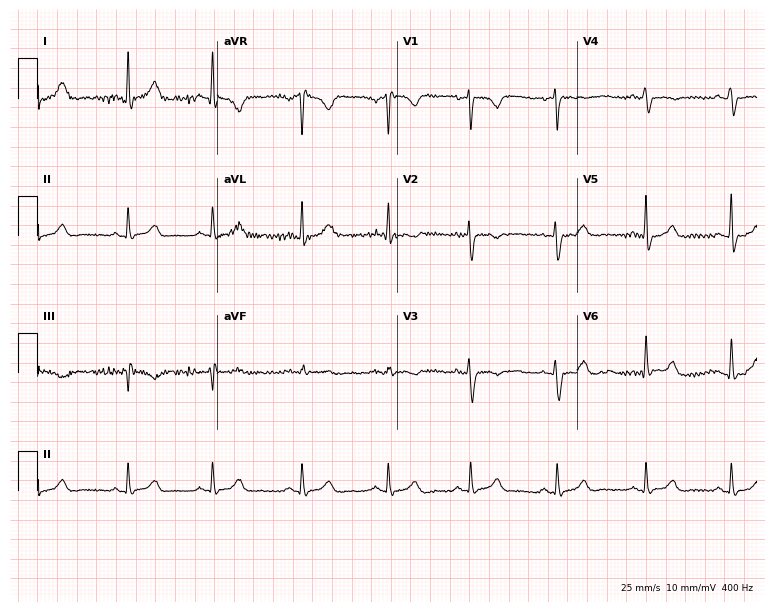
Standard 12-lead ECG recorded from a 29-year-old woman. Read as a normal ECG.